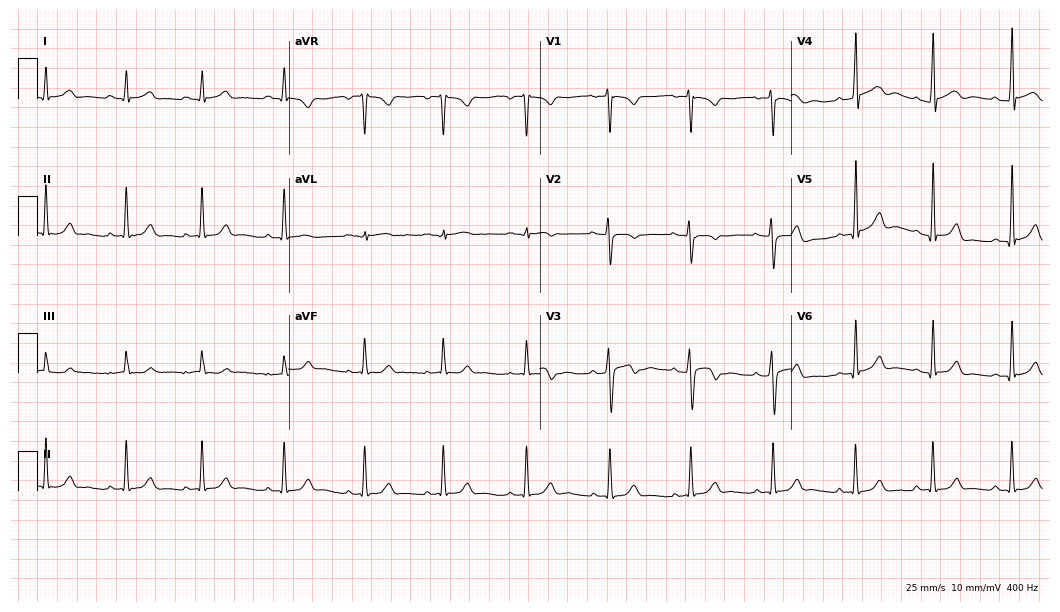
ECG (10.2-second recording at 400 Hz) — a male patient, 18 years old. Labelled as a normal ECG.